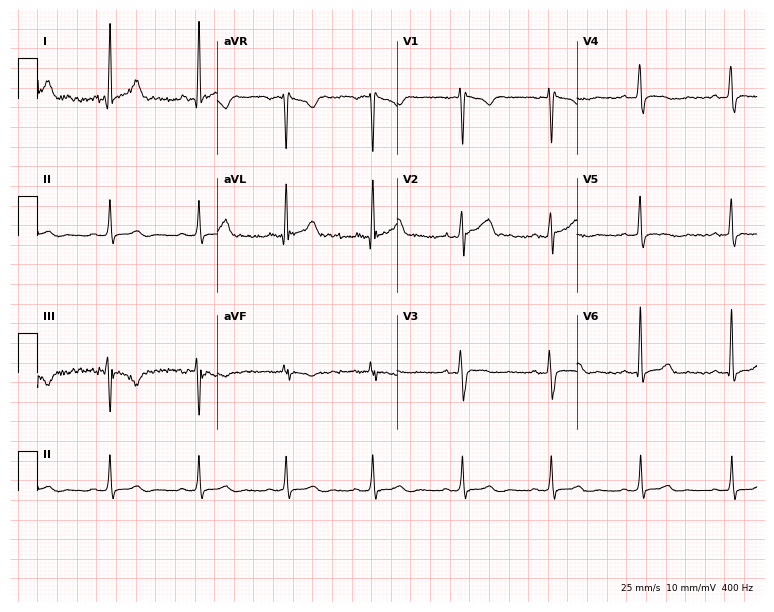
Electrocardiogram, a male patient, 39 years old. Of the six screened findings (first-degree AV block, right bundle branch block (RBBB), left bundle branch block (LBBB), sinus bradycardia, atrial fibrillation (AF), sinus tachycardia), none is recorded. Other findings, if any, are not listed.